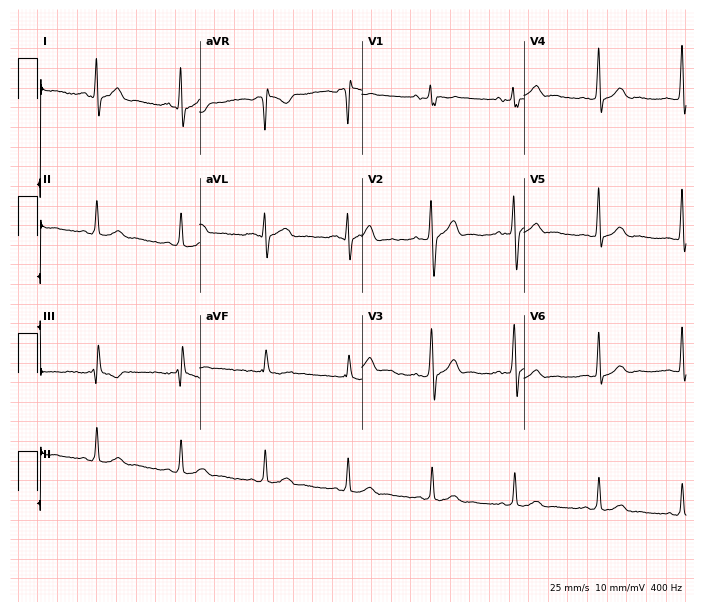
ECG — a male, 32 years old. Labelled as a normal ECG.